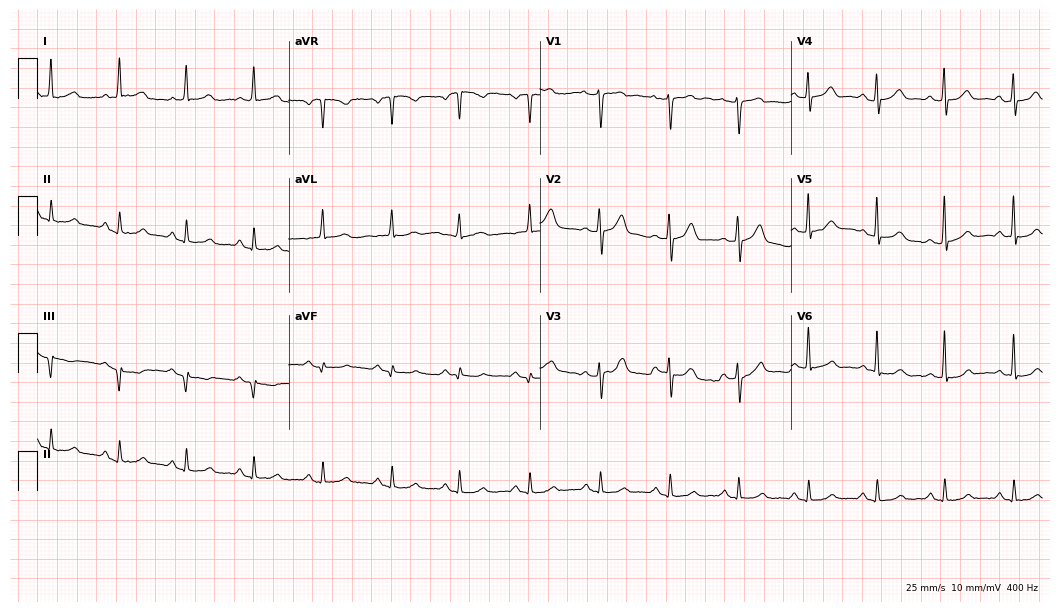
12-lead ECG from a 66-year-old man. Recorded interpretation: within normal limits.